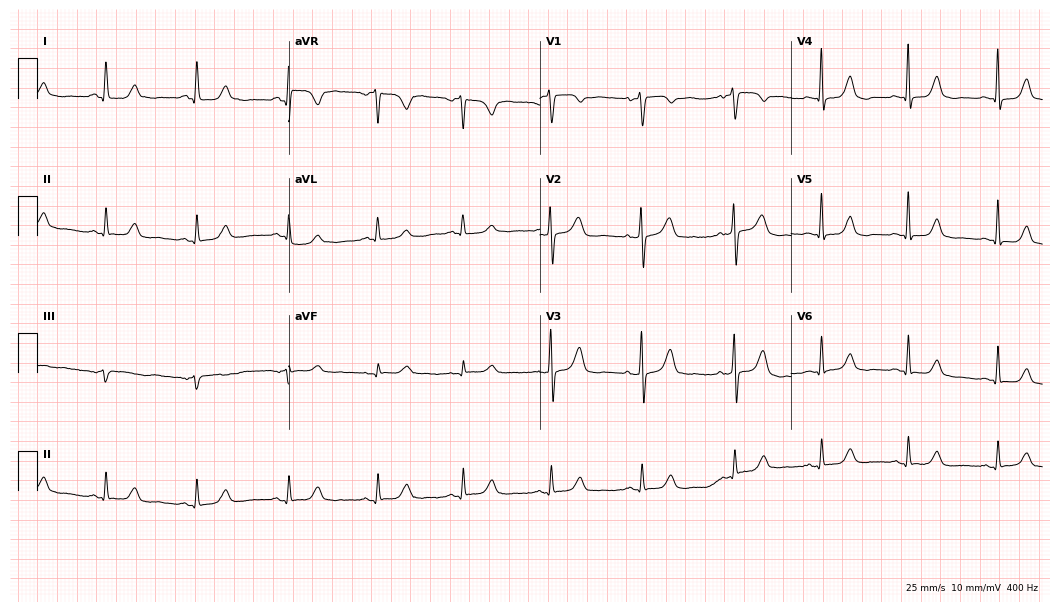
ECG — a female, 62 years old. Labelled as a normal ECG.